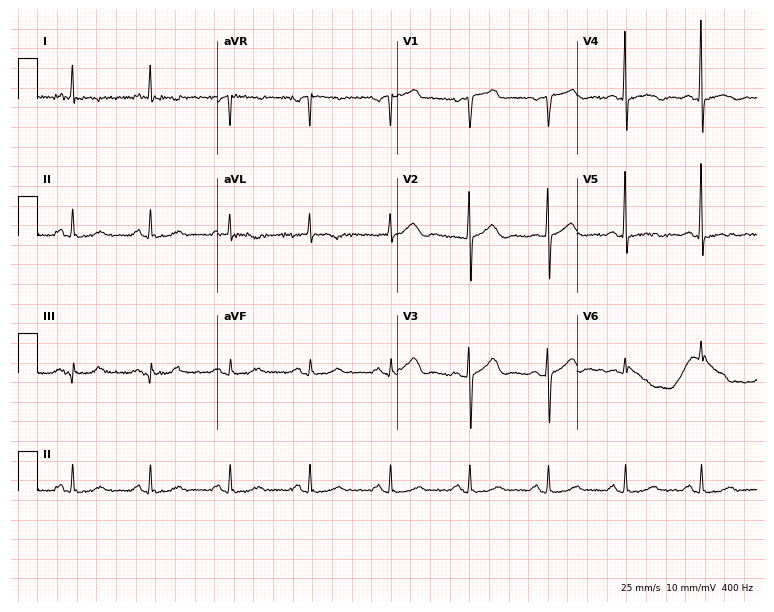
ECG (7.3-second recording at 400 Hz) — a 77-year-old female. Screened for six findings — first-degree AV block, right bundle branch block, left bundle branch block, sinus bradycardia, atrial fibrillation, sinus tachycardia — none is recorded. Other findings, if any, are not listed.